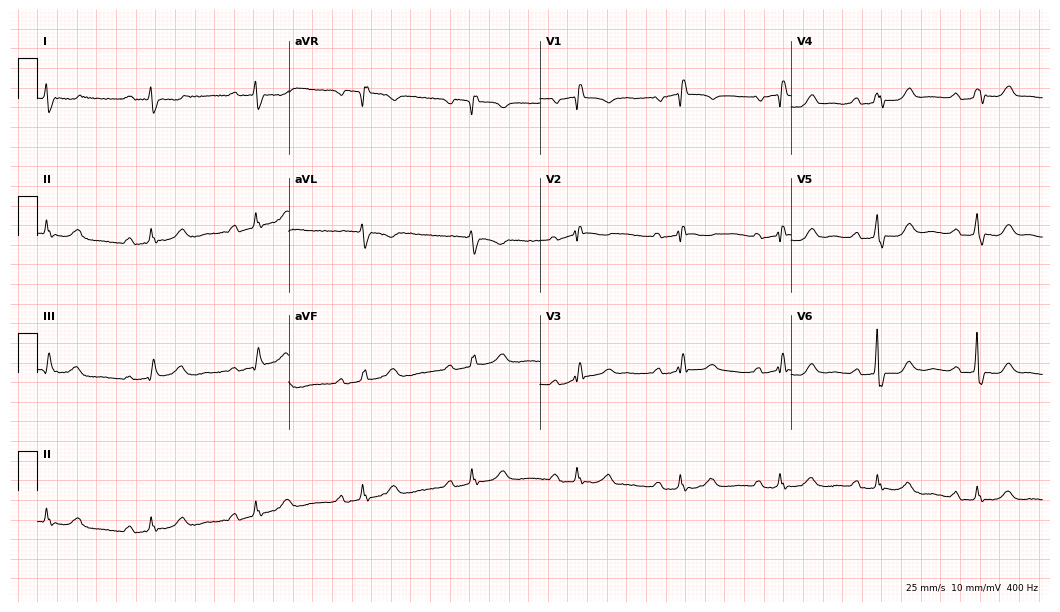
ECG (10.2-second recording at 400 Hz) — a 73-year-old woman. Findings include right bundle branch block (RBBB).